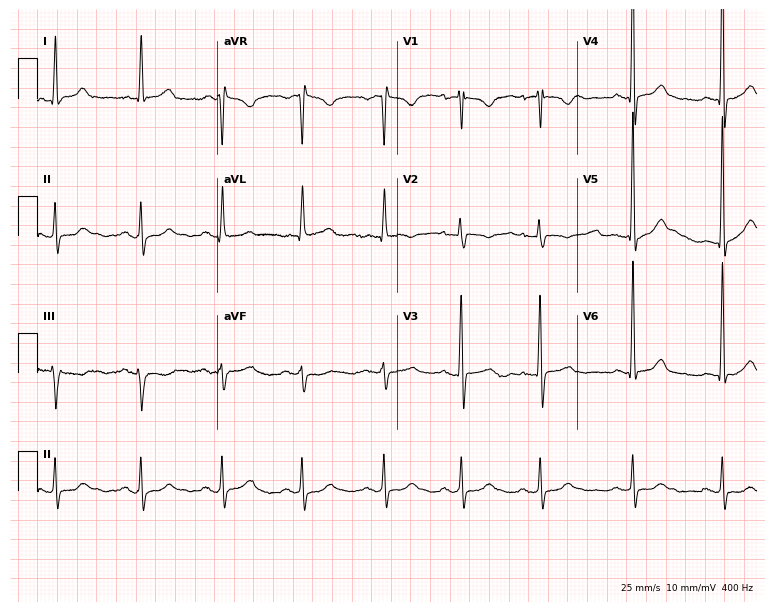
12-lead ECG from an 81-year-old female. Recorded interpretation: within normal limits.